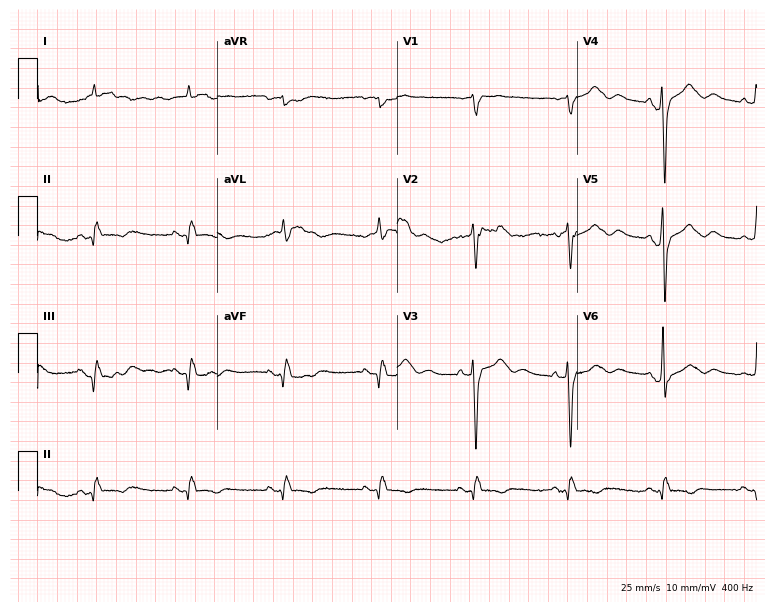
ECG (7.3-second recording at 400 Hz) — an 80-year-old male. Screened for six findings — first-degree AV block, right bundle branch block, left bundle branch block, sinus bradycardia, atrial fibrillation, sinus tachycardia — none is recorded. Findings outside these six are not listed.